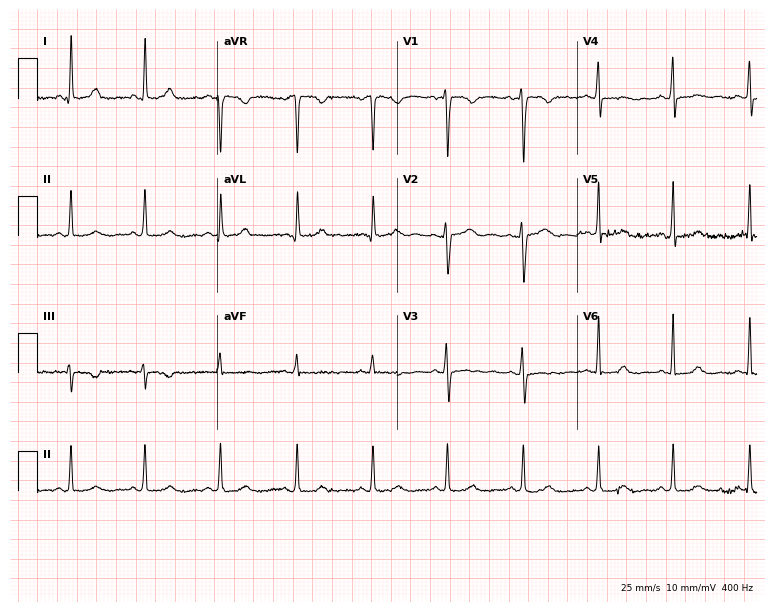
Resting 12-lead electrocardiogram. Patient: a female, 28 years old. Read as a normal ECG.